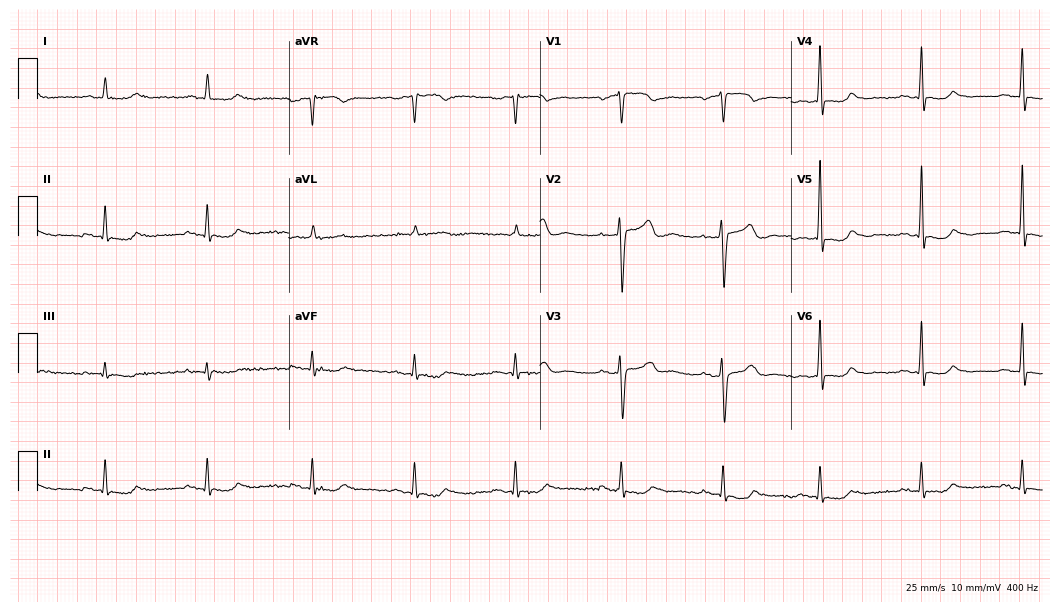
Standard 12-lead ECG recorded from a 65-year-old male patient (10.2-second recording at 400 Hz). None of these six findings is recorded: first-degree AV block, right bundle branch block, left bundle branch block, sinus bradycardia, atrial fibrillation, sinus tachycardia. Only these six findings were labelled.